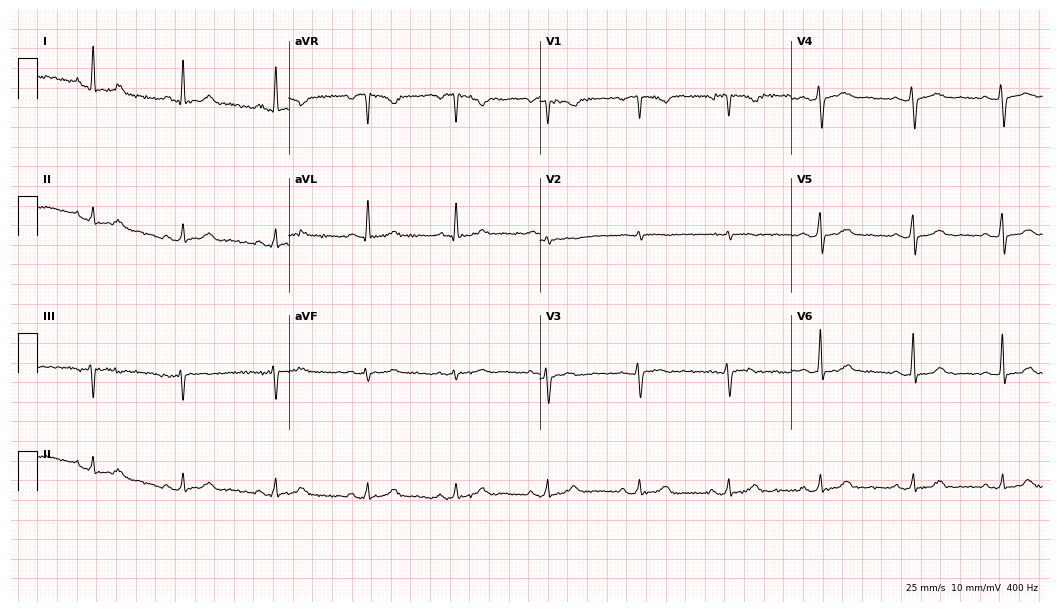
12-lead ECG from a 49-year-old female patient (10.2-second recording at 400 Hz). Recorded interpretation: within normal limits.